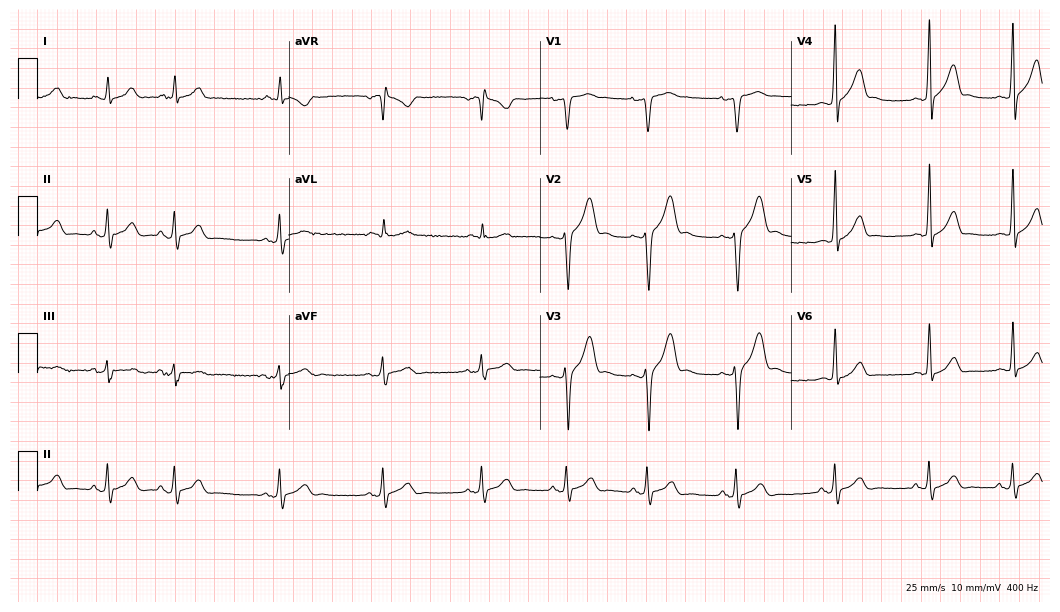
Standard 12-lead ECG recorded from a male patient, 24 years old (10.2-second recording at 400 Hz). None of these six findings is recorded: first-degree AV block, right bundle branch block, left bundle branch block, sinus bradycardia, atrial fibrillation, sinus tachycardia. Only these six findings were labelled.